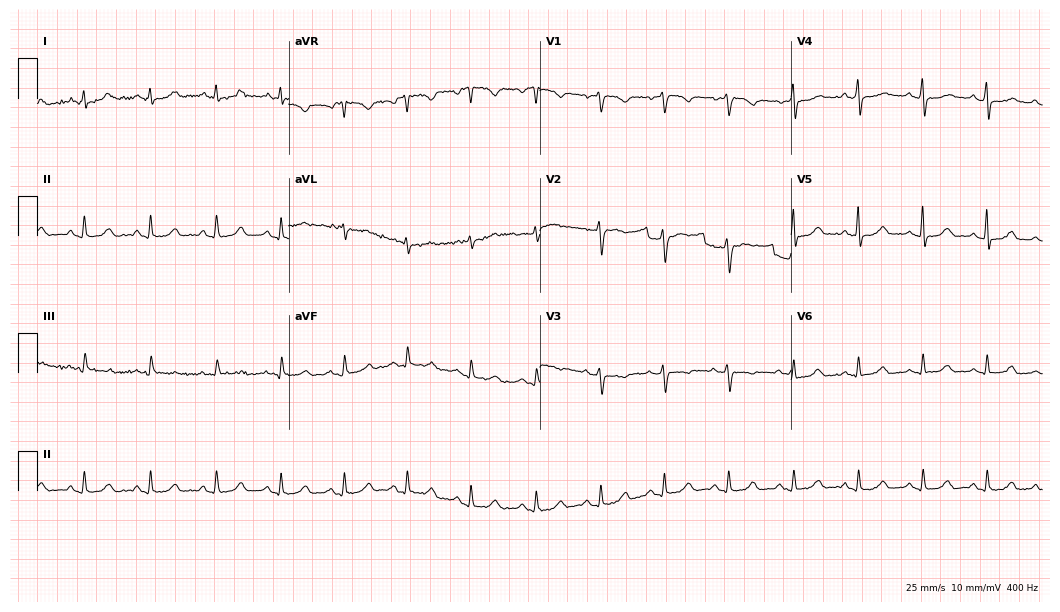
Standard 12-lead ECG recorded from a female, 42 years old. Read as a normal ECG.